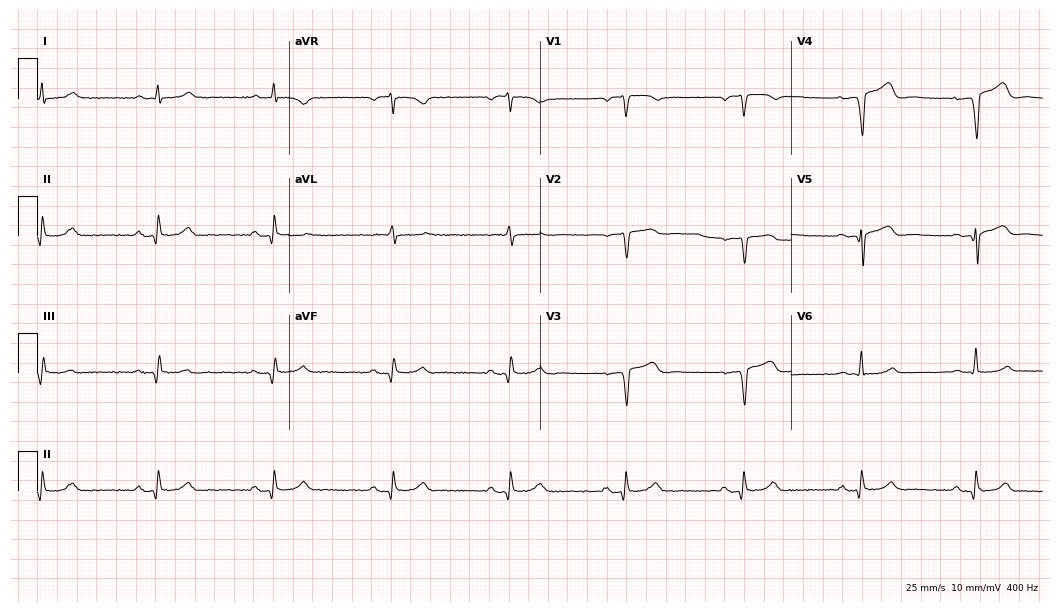
12-lead ECG from a 71-year-old male (10.2-second recording at 400 Hz). Recorded interpretation: within normal limits.